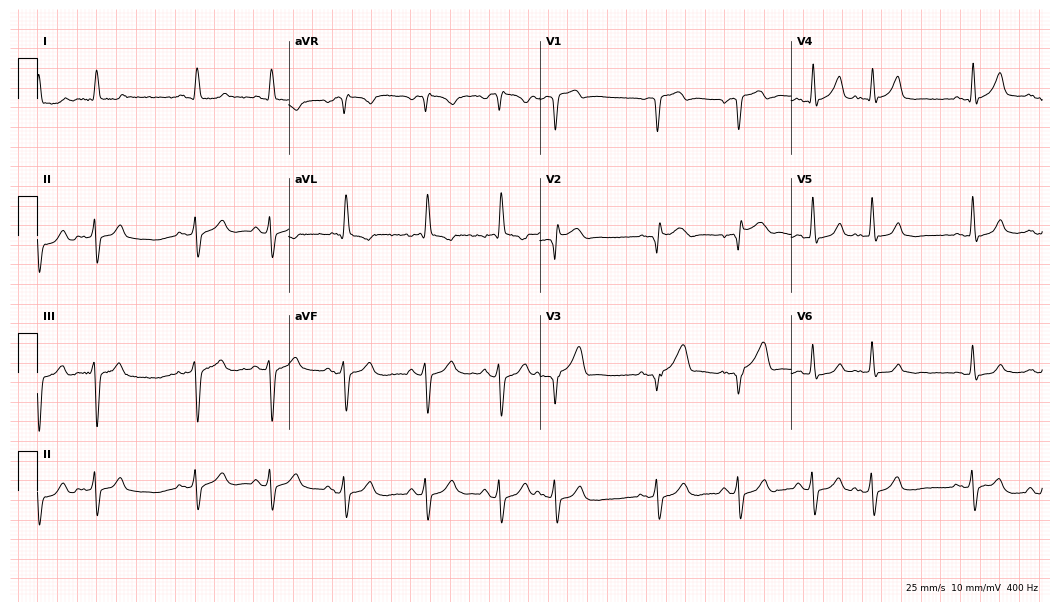
Resting 12-lead electrocardiogram. Patient: an 80-year-old male. None of these six findings is recorded: first-degree AV block, right bundle branch block, left bundle branch block, sinus bradycardia, atrial fibrillation, sinus tachycardia.